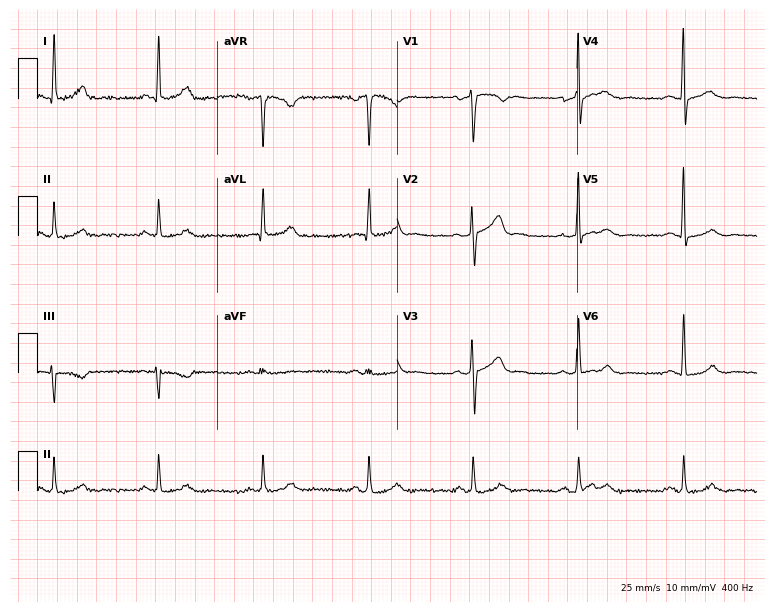
12-lead ECG from a 49-year-old man. Labelled as a normal ECG.